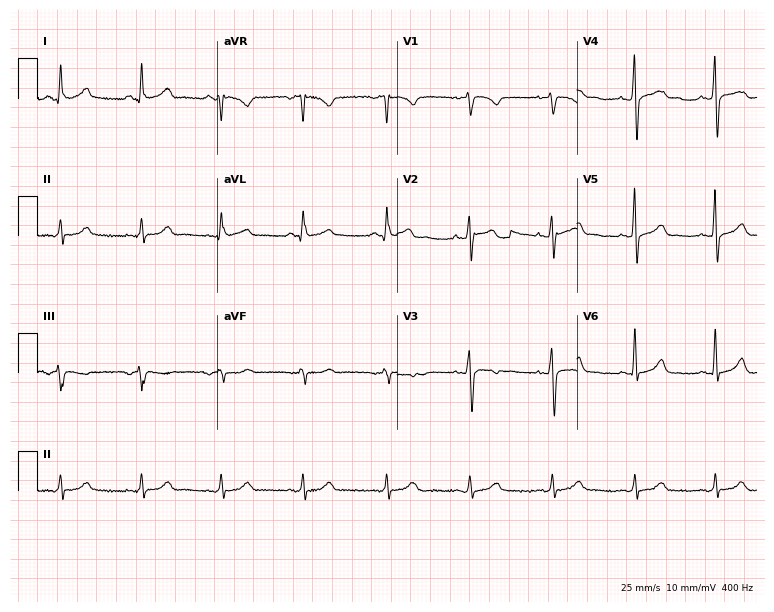
Electrocardiogram, a male, 41 years old. Overall reading on record: normal ECG.